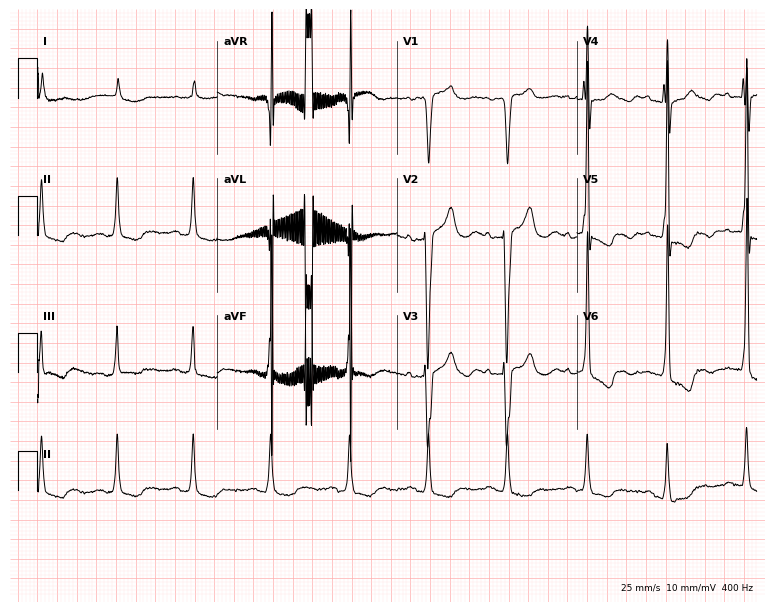
Resting 12-lead electrocardiogram (7.3-second recording at 400 Hz). Patient: a man, 84 years old. None of these six findings is recorded: first-degree AV block, right bundle branch block, left bundle branch block, sinus bradycardia, atrial fibrillation, sinus tachycardia. Other findings, if any, are not listed.